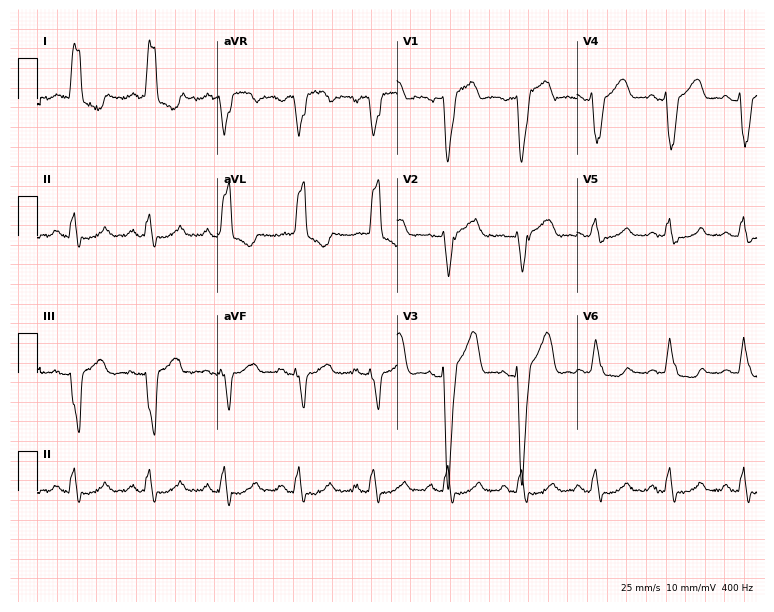
12-lead ECG from a 70-year-old woman. Findings include left bundle branch block.